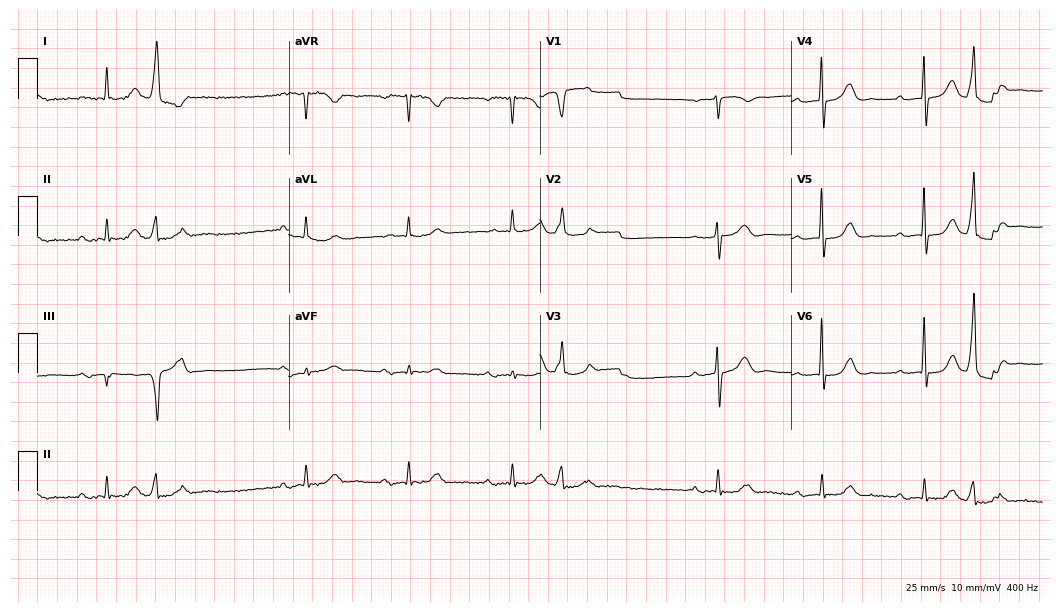
Standard 12-lead ECG recorded from a male, 85 years old. The tracing shows first-degree AV block.